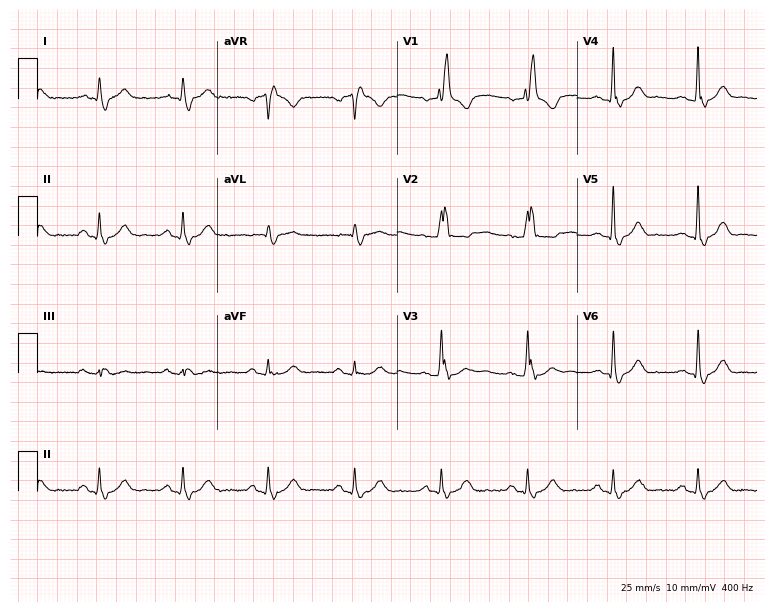
ECG — a male patient, 64 years old. Screened for six findings — first-degree AV block, right bundle branch block, left bundle branch block, sinus bradycardia, atrial fibrillation, sinus tachycardia — none is recorded. Other findings, if any, are not listed.